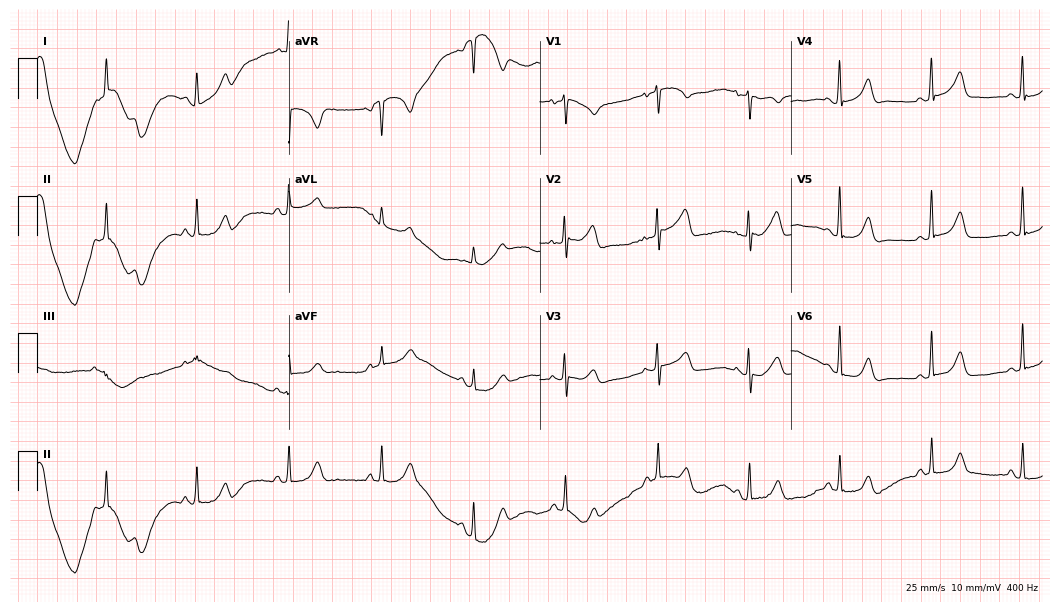
Resting 12-lead electrocardiogram. Patient: a female, 68 years old. Read as a normal ECG.